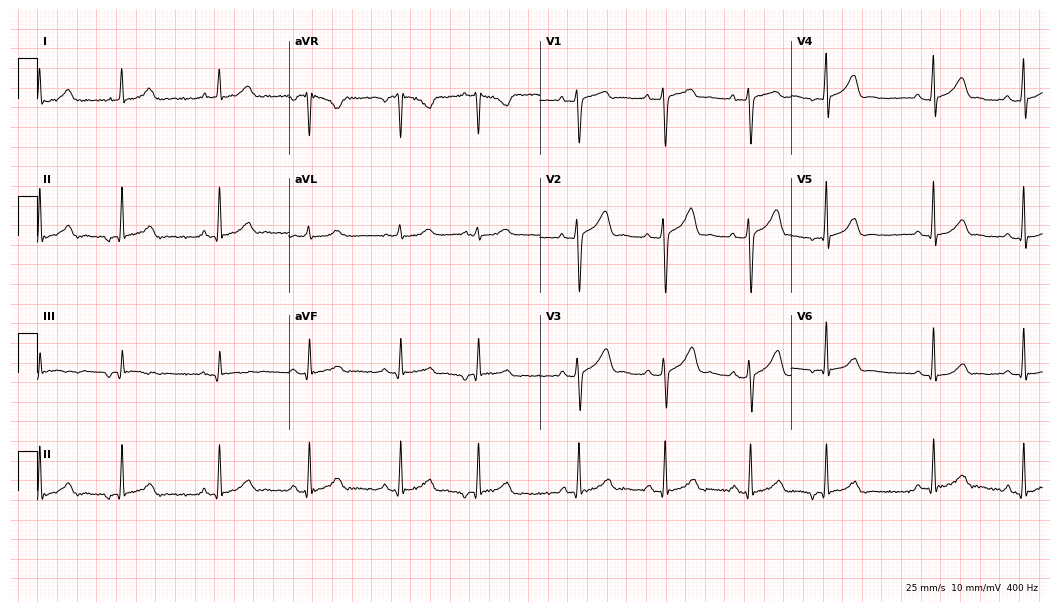
Electrocardiogram, a 44-year-old woman. Overall reading on record: normal ECG.